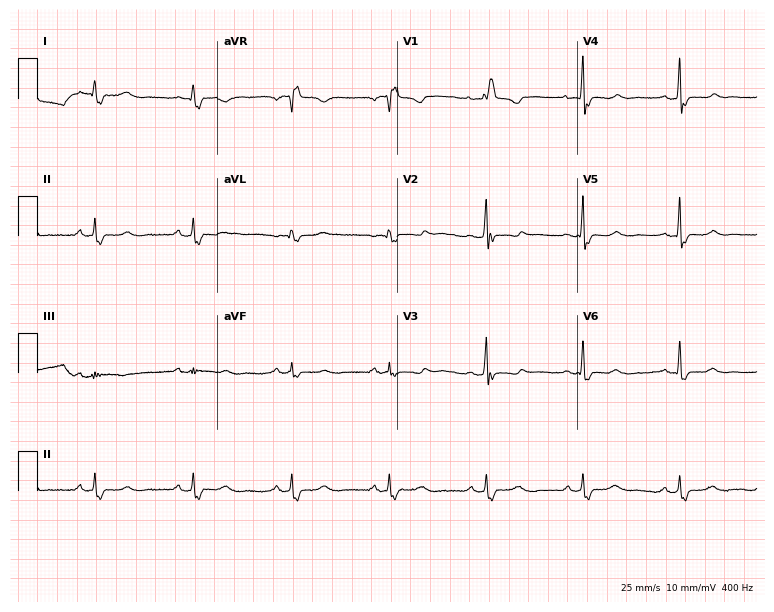
Electrocardiogram, a 69-year-old female patient. Interpretation includes right bundle branch block.